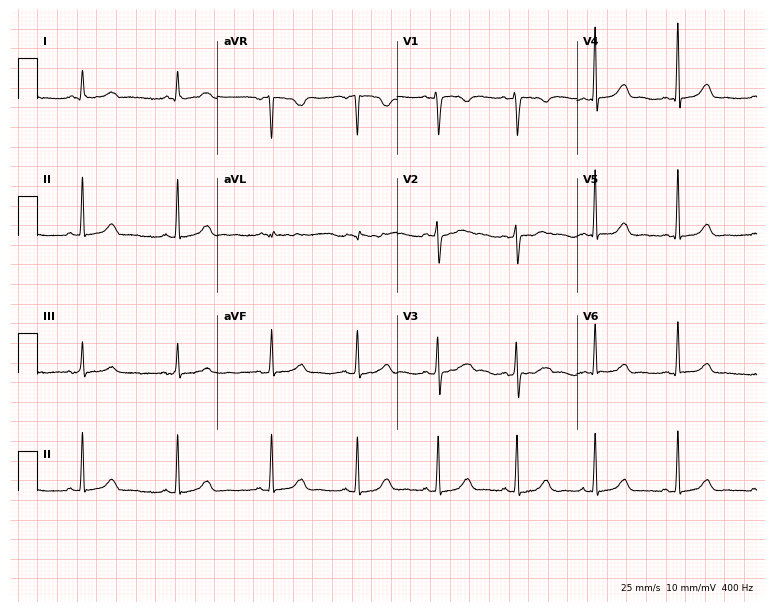
Standard 12-lead ECG recorded from a 40-year-old female. Read as a normal ECG.